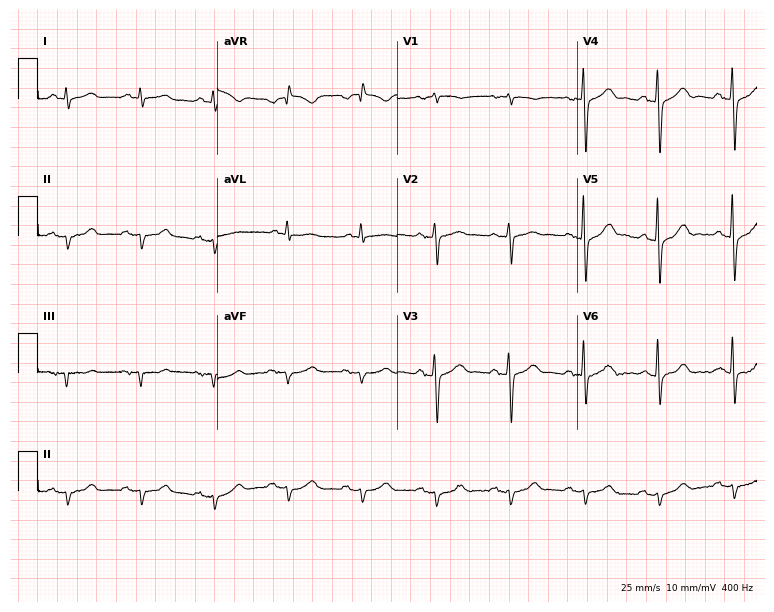
ECG — a male patient, 71 years old. Screened for six findings — first-degree AV block, right bundle branch block, left bundle branch block, sinus bradycardia, atrial fibrillation, sinus tachycardia — none is recorded.